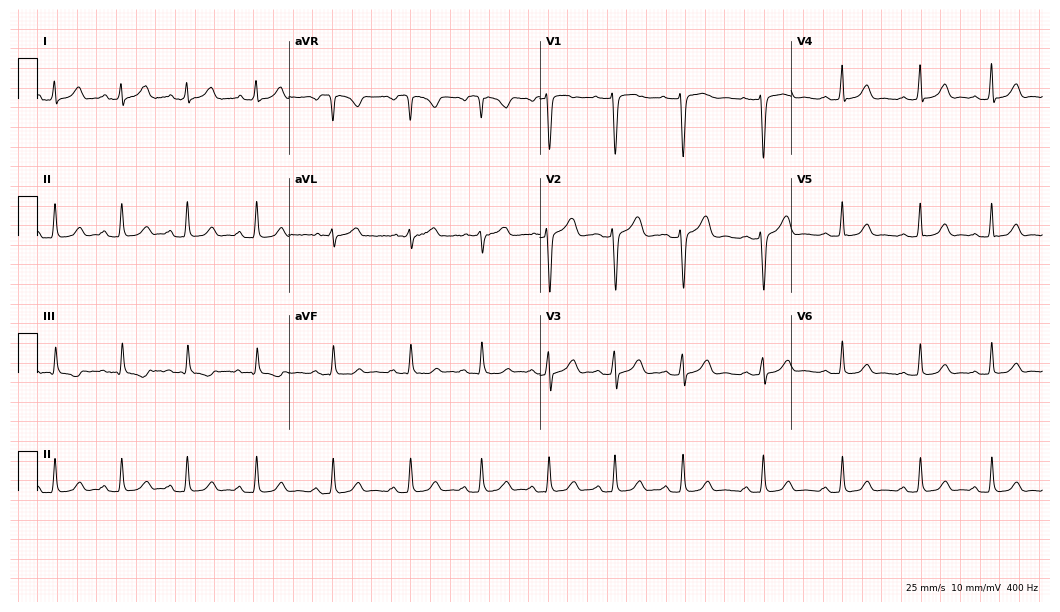
Electrocardiogram (10.2-second recording at 400 Hz), a female patient, 21 years old. Overall reading on record: normal ECG.